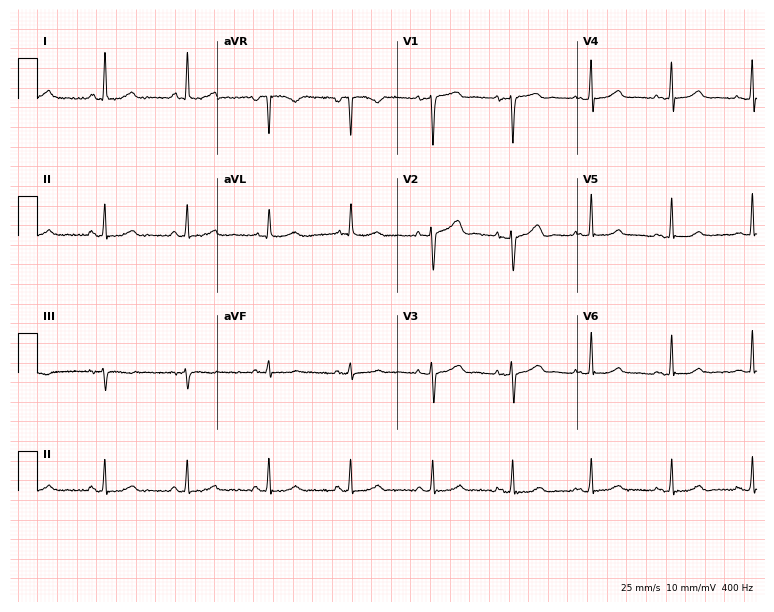
12-lead ECG from a 49-year-old woman (7.3-second recording at 400 Hz). Recorded interpretation: within normal limits.